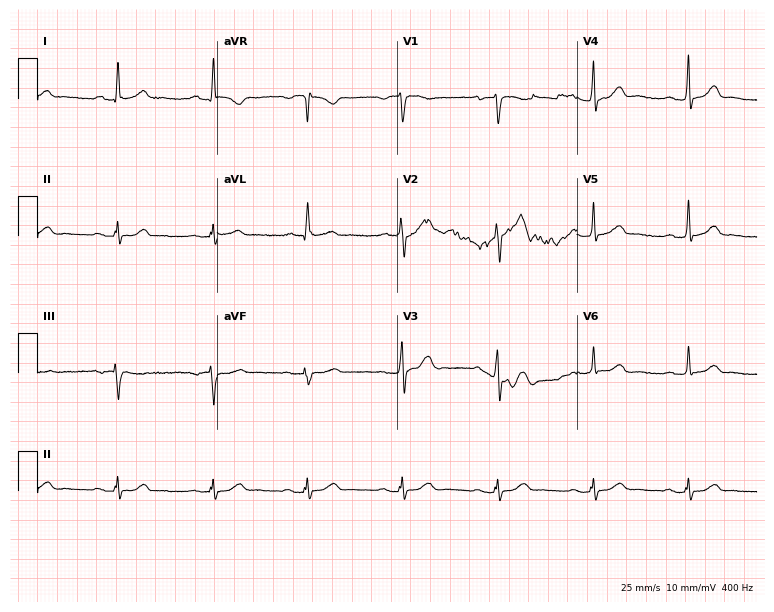
Electrocardiogram (7.3-second recording at 400 Hz), a male patient, 70 years old. Interpretation includes first-degree AV block.